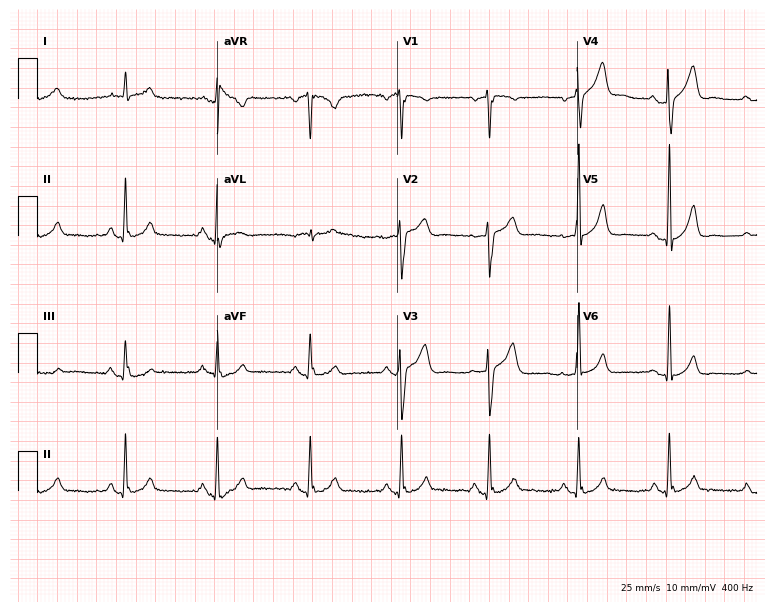
Resting 12-lead electrocardiogram. Patient: a 71-year-old male. Read as a normal ECG.